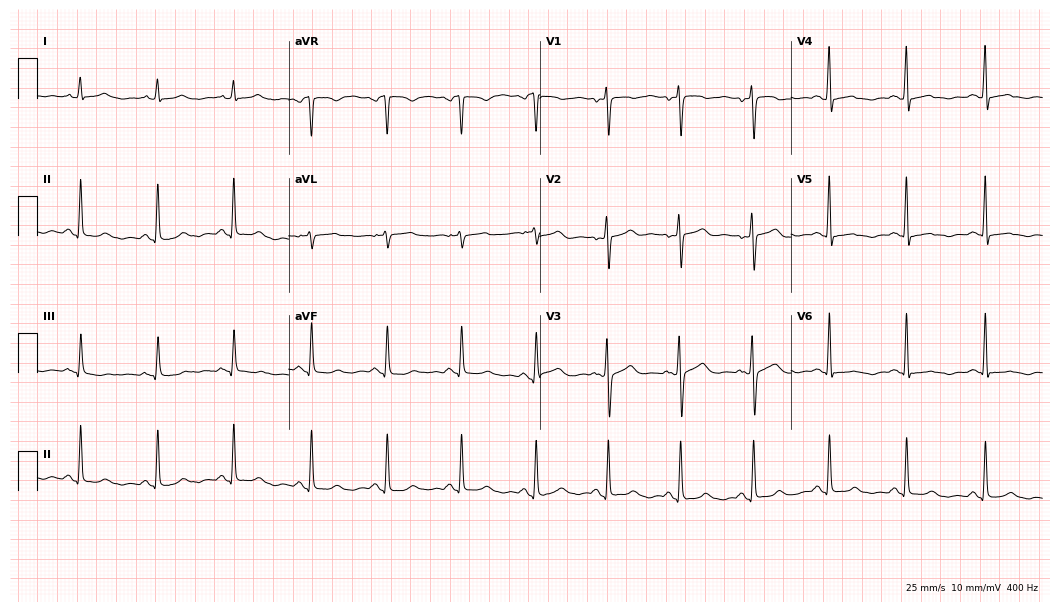
ECG (10.2-second recording at 400 Hz) — a woman, 43 years old. Screened for six findings — first-degree AV block, right bundle branch block, left bundle branch block, sinus bradycardia, atrial fibrillation, sinus tachycardia — none is recorded.